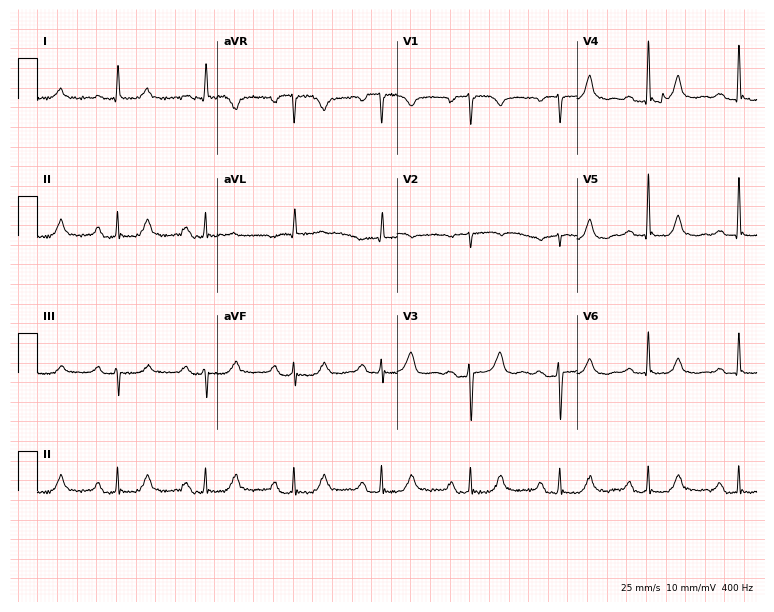
Standard 12-lead ECG recorded from an 81-year-old female (7.3-second recording at 400 Hz). The tracing shows first-degree AV block.